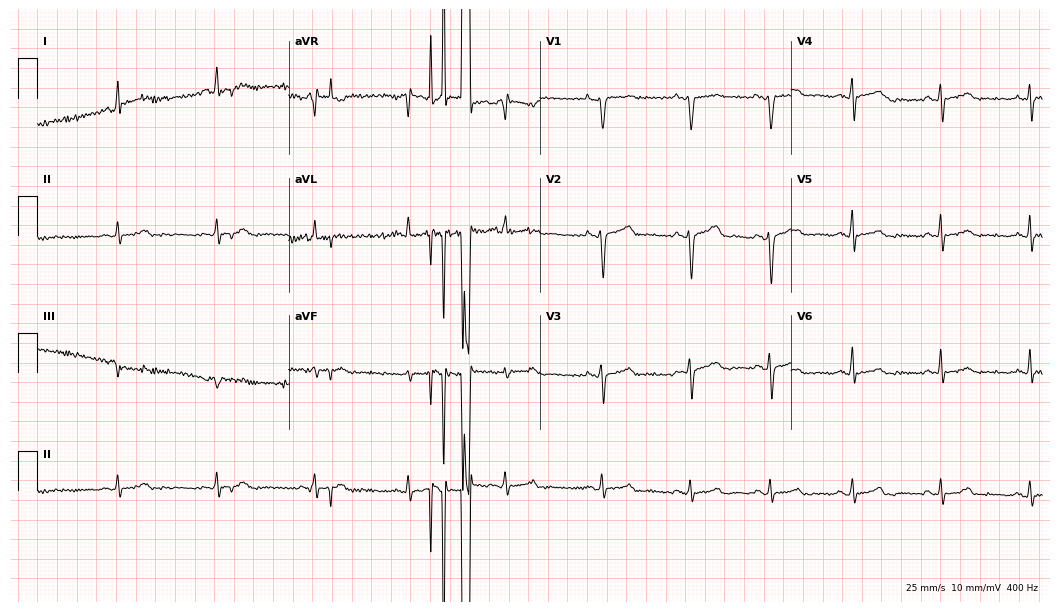
Electrocardiogram, a female, 24 years old. Of the six screened findings (first-degree AV block, right bundle branch block (RBBB), left bundle branch block (LBBB), sinus bradycardia, atrial fibrillation (AF), sinus tachycardia), none is recorded. Only these six findings were labelled.